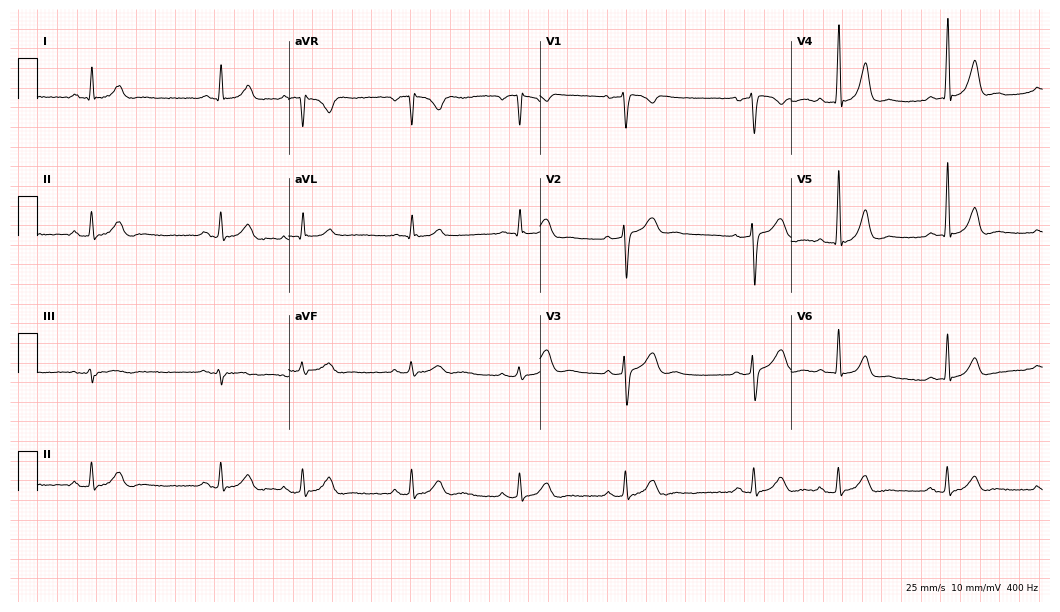
Standard 12-lead ECG recorded from a male patient, 41 years old (10.2-second recording at 400 Hz). Read as a normal ECG.